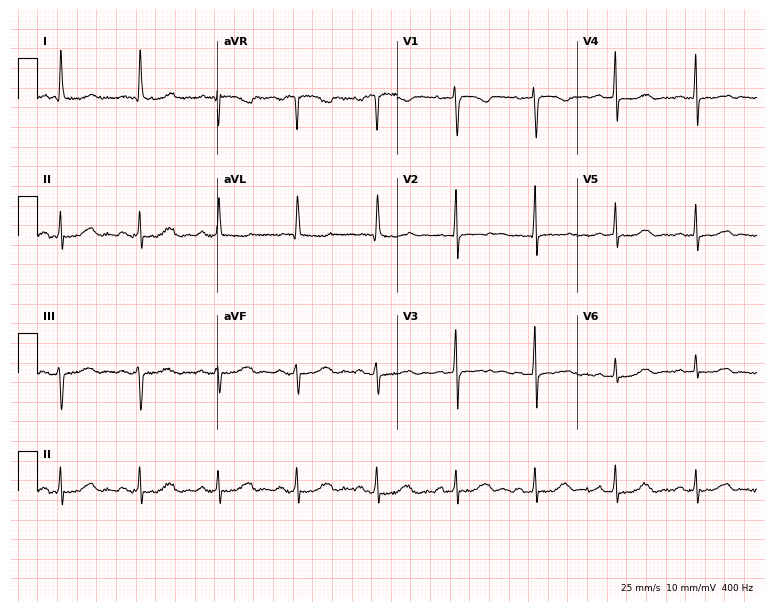
Standard 12-lead ECG recorded from a female patient, 78 years old (7.3-second recording at 400 Hz). Read as a normal ECG.